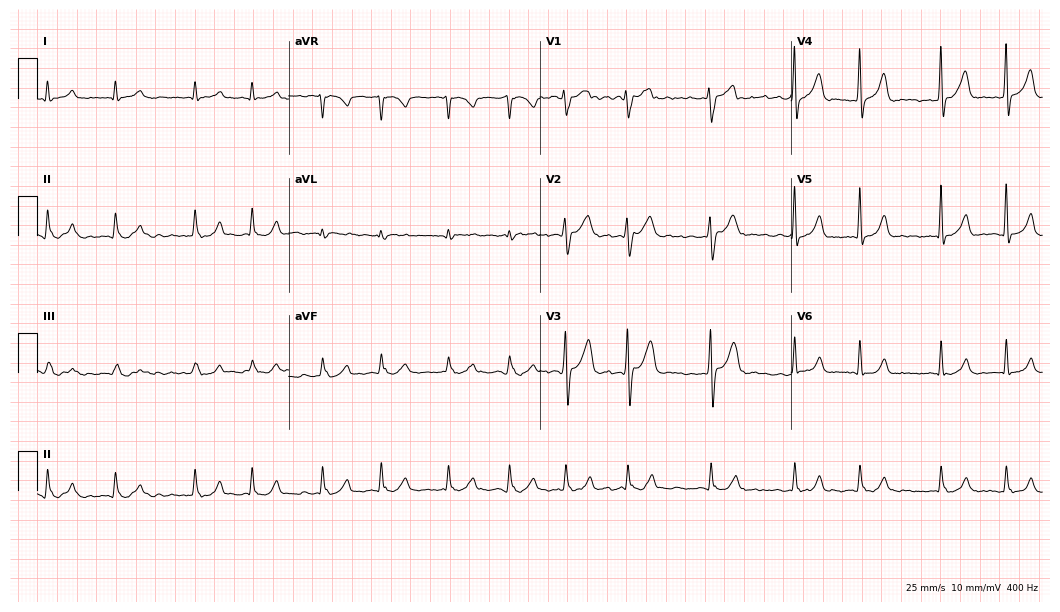
12-lead ECG from a male, 67 years old. Findings include atrial fibrillation.